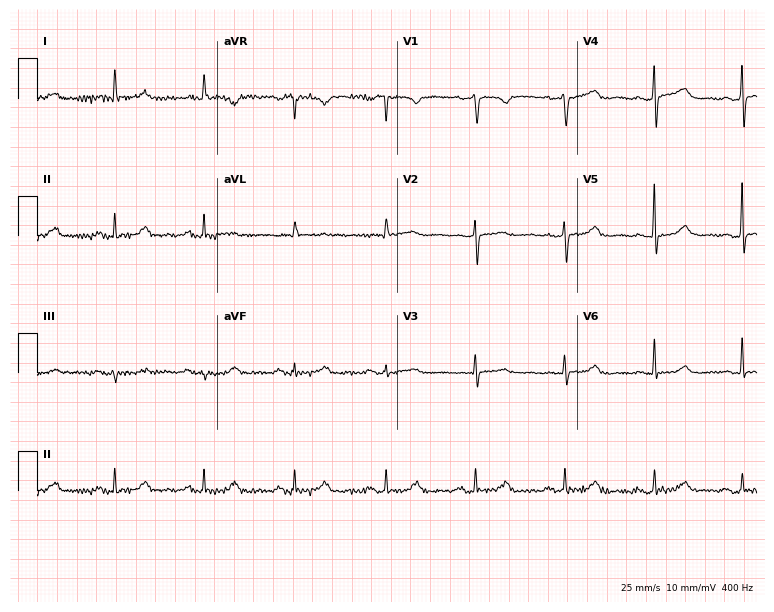
Standard 12-lead ECG recorded from a woman, 76 years old. None of these six findings is recorded: first-degree AV block, right bundle branch block (RBBB), left bundle branch block (LBBB), sinus bradycardia, atrial fibrillation (AF), sinus tachycardia.